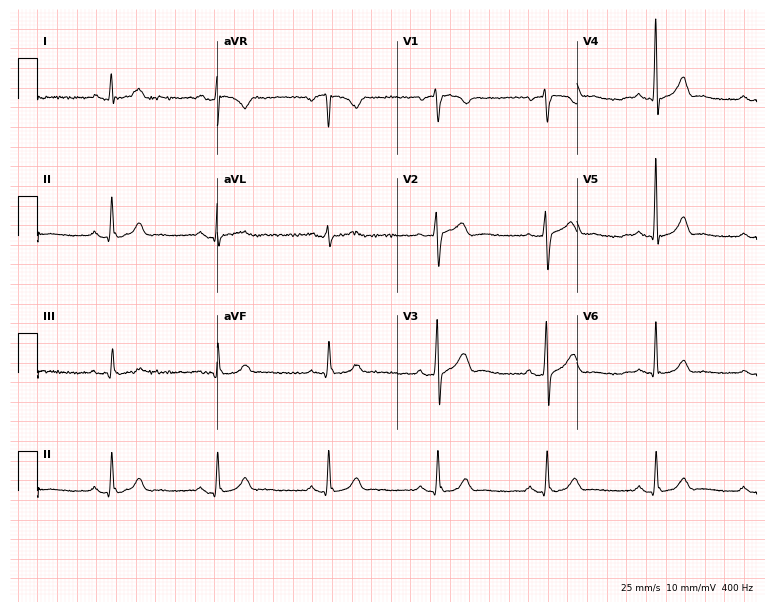
Resting 12-lead electrocardiogram. Patient: a male, 61 years old. Read as a normal ECG.